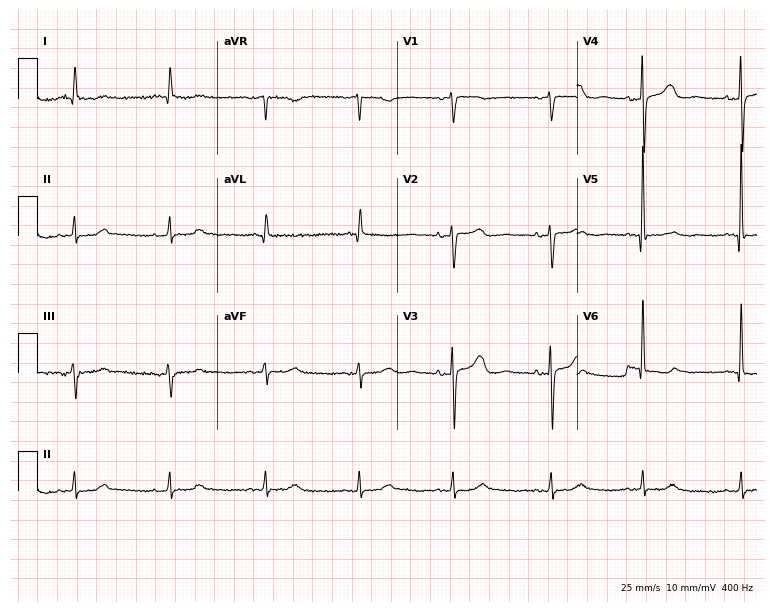
Electrocardiogram, a female, 84 years old. Overall reading on record: normal ECG.